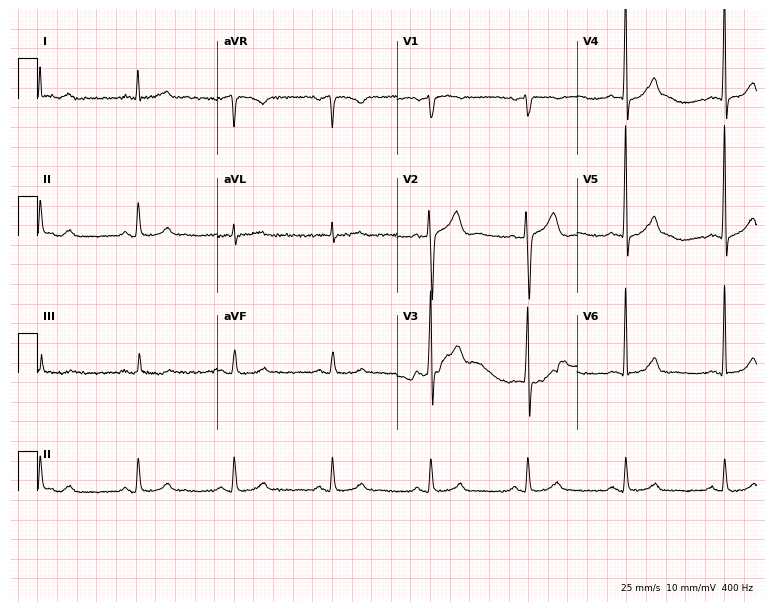
12-lead ECG from a man, 54 years old (7.3-second recording at 400 Hz). No first-degree AV block, right bundle branch block, left bundle branch block, sinus bradycardia, atrial fibrillation or sinus tachycardia recorded for this tracing. Only these six findings were labelled.